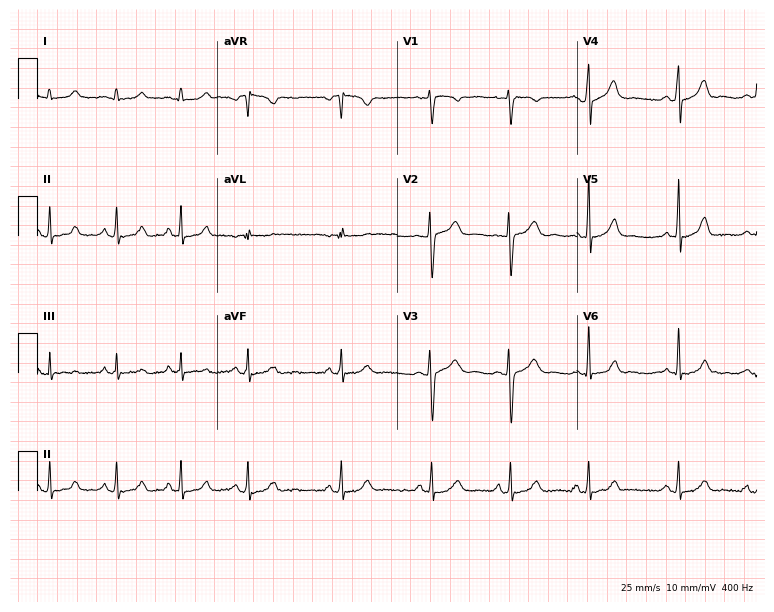
Resting 12-lead electrocardiogram. Patient: a 23-year-old female. None of these six findings is recorded: first-degree AV block, right bundle branch block (RBBB), left bundle branch block (LBBB), sinus bradycardia, atrial fibrillation (AF), sinus tachycardia.